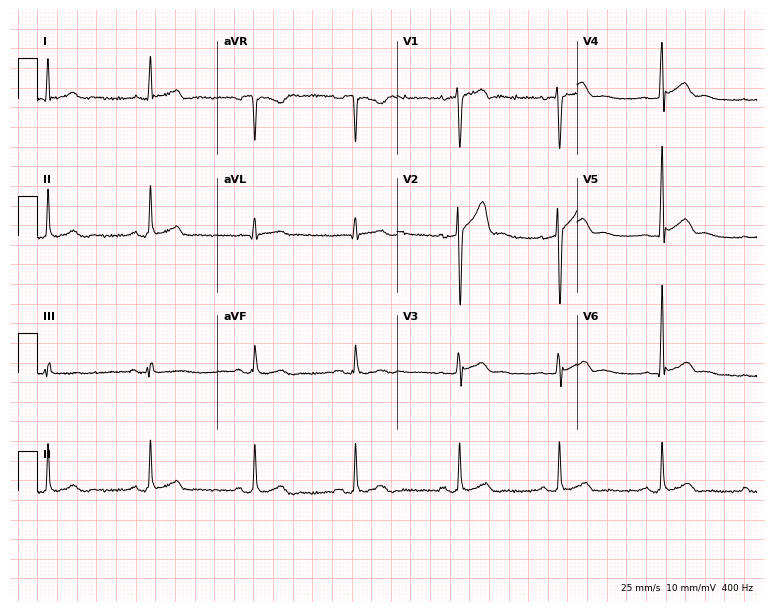
Resting 12-lead electrocardiogram (7.3-second recording at 400 Hz). Patient: a man, 56 years old. Read as a normal ECG.